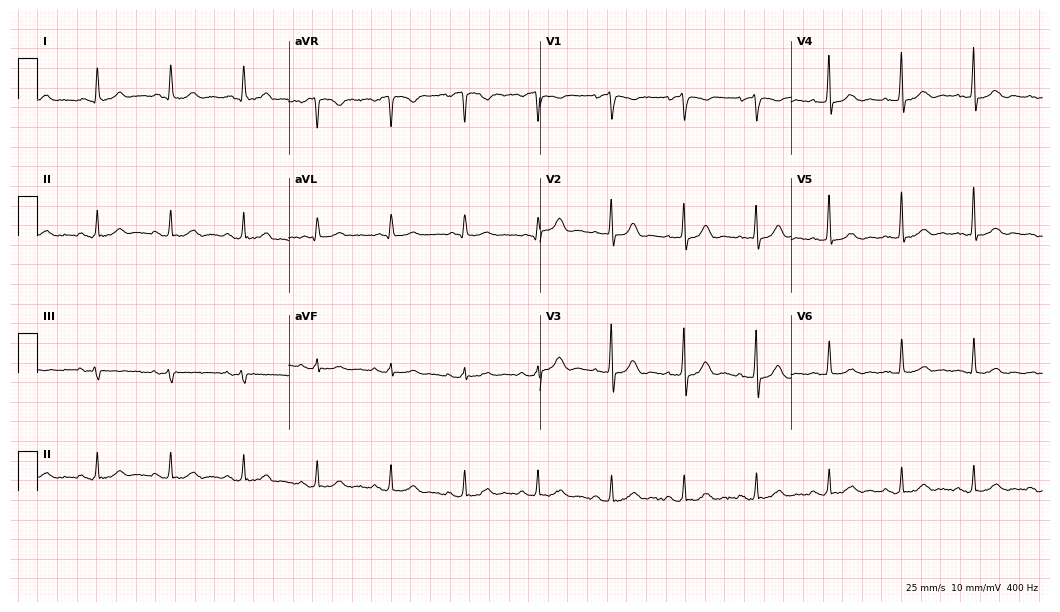
ECG — a 74-year-old man. Labelled as a normal ECG.